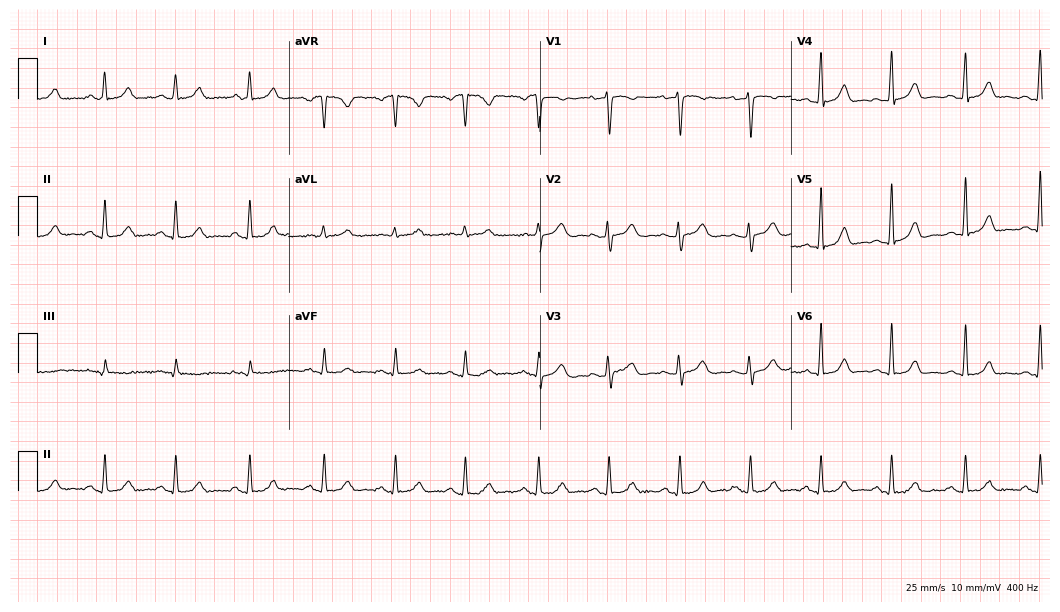
Resting 12-lead electrocardiogram. Patient: a 46-year-old woman. None of these six findings is recorded: first-degree AV block, right bundle branch block (RBBB), left bundle branch block (LBBB), sinus bradycardia, atrial fibrillation (AF), sinus tachycardia. Other findings, if any, are not listed.